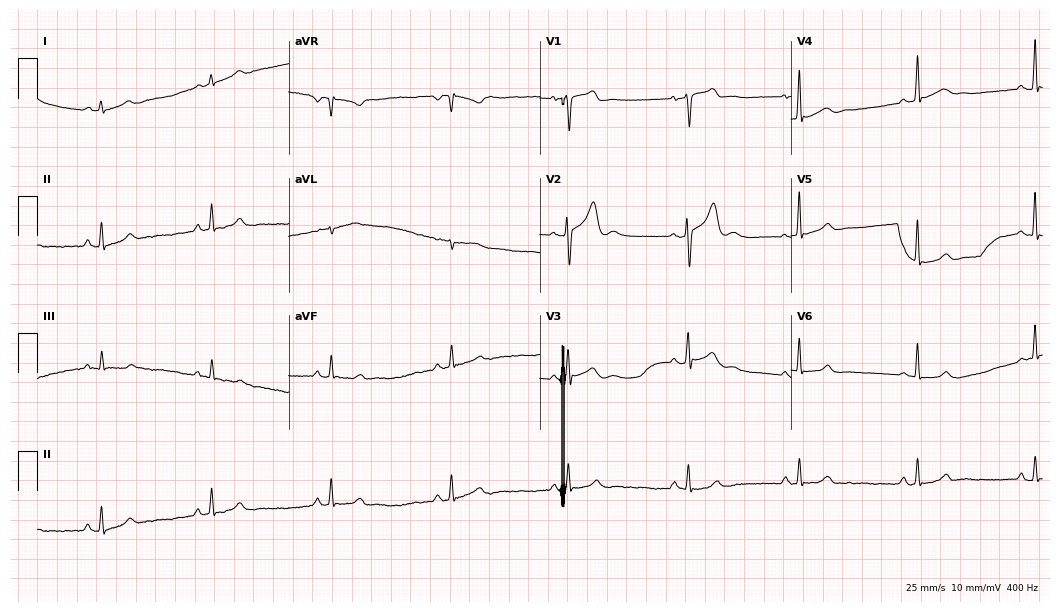
Standard 12-lead ECG recorded from a male, 19 years old (10.2-second recording at 400 Hz). None of these six findings is recorded: first-degree AV block, right bundle branch block, left bundle branch block, sinus bradycardia, atrial fibrillation, sinus tachycardia. Only these six findings were labelled.